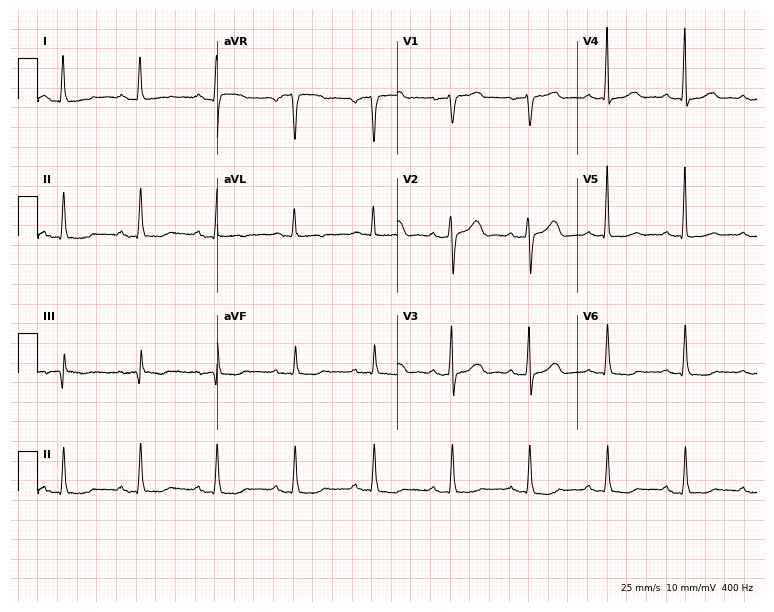
ECG — a 62-year-old woman. Screened for six findings — first-degree AV block, right bundle branch block, left bundle branch block, sinus bradycardia, atrial fibrillation, sinus tachycardia — none is recorded. Other findings, if any, are not listed.